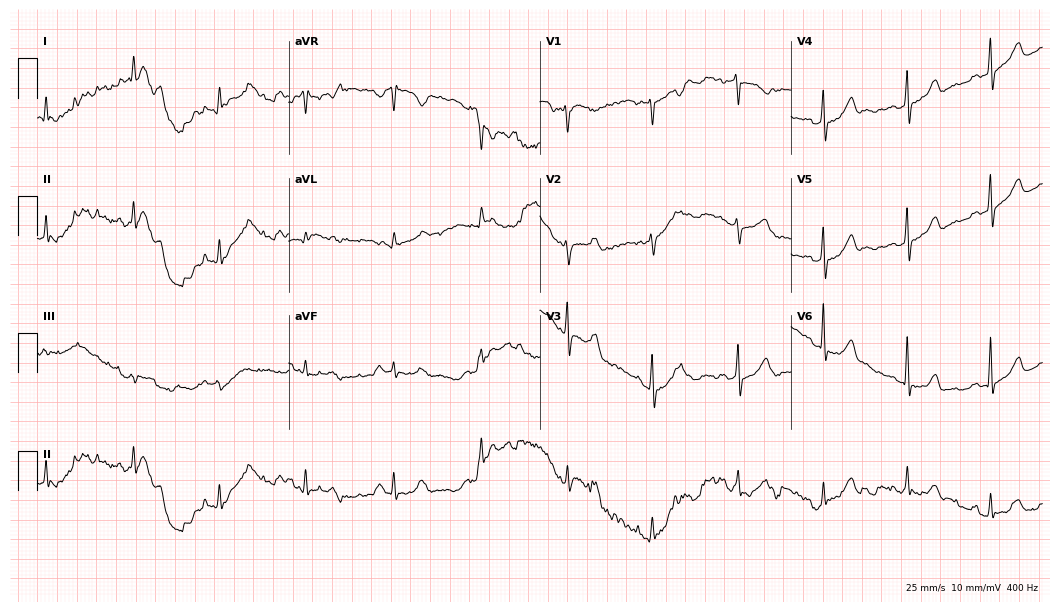
Resting 12-lead electrocardiogram. Patient: a woman, 57 years old. None of these six findings is recorded: first-degree AV block, right bundle branch block (RBBB), left bundle branch block (LBBB), sinus bradycardia, atrial fibrillation (AF), sinus tachycardia.